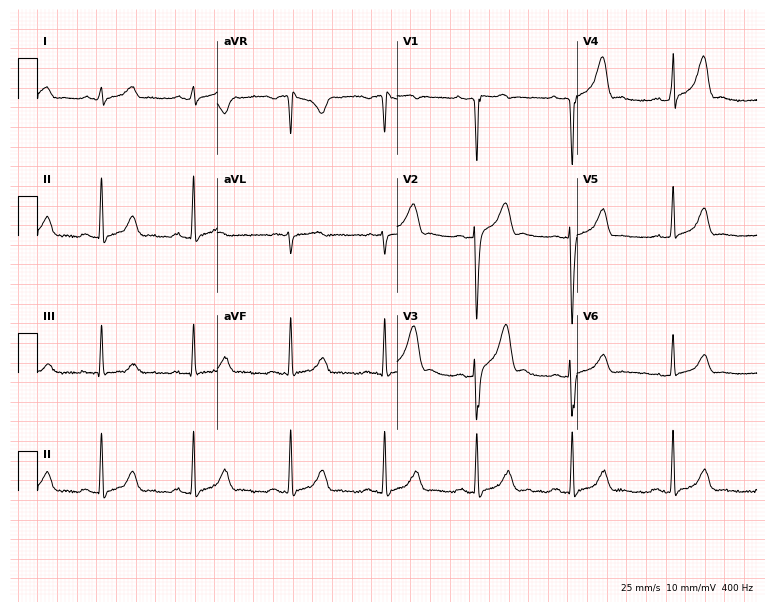
Resting 12-lead electrocardiogram. Patient: a 24-year-old male. None of these six findings is recorded: first-degree AV block, right bundle branch block (RBBB), left bundle branch block (LBBB), sinus bradycardia, atrial fibrillation (AF), sinus tachycardia.